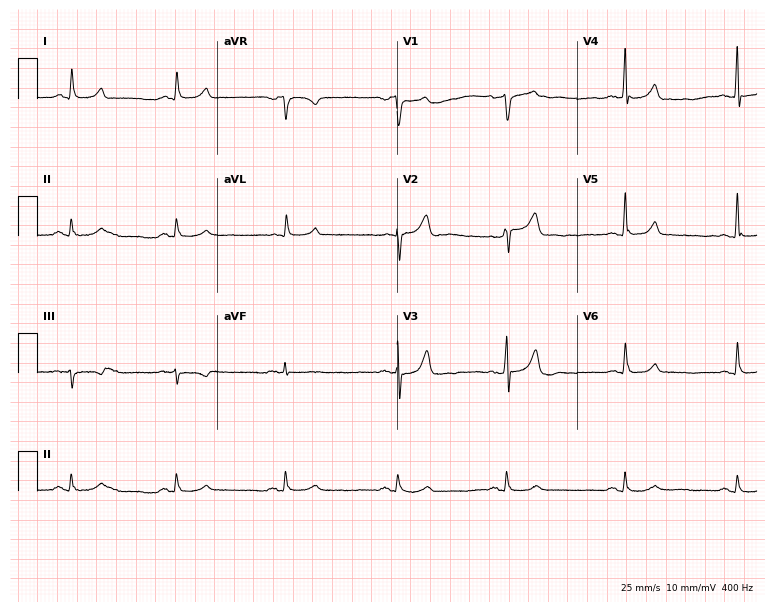
12-lead ECG (7.3-second recording at 400 Hz) from a 60-year-old male. Screened for six findings — first-degree AV block, right bundle branch block, left bundle branch block, sinus bradycardia, atrial fibrillation, sinus tachycardia — none is recorded. Other findings, if any, are not listed.